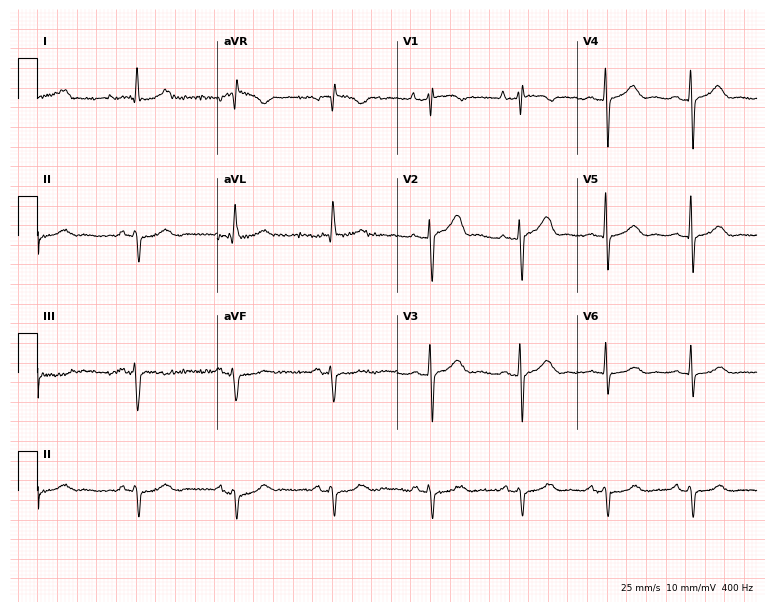
12-lead ECG from a 74-year-old female patient. No first-degree AV block, right bundle branch block, left bundle branch block, sinus bradycardia, atrial fibrillation or sinus tachycardia recorded for this tracing. Only these six findings were labelled.